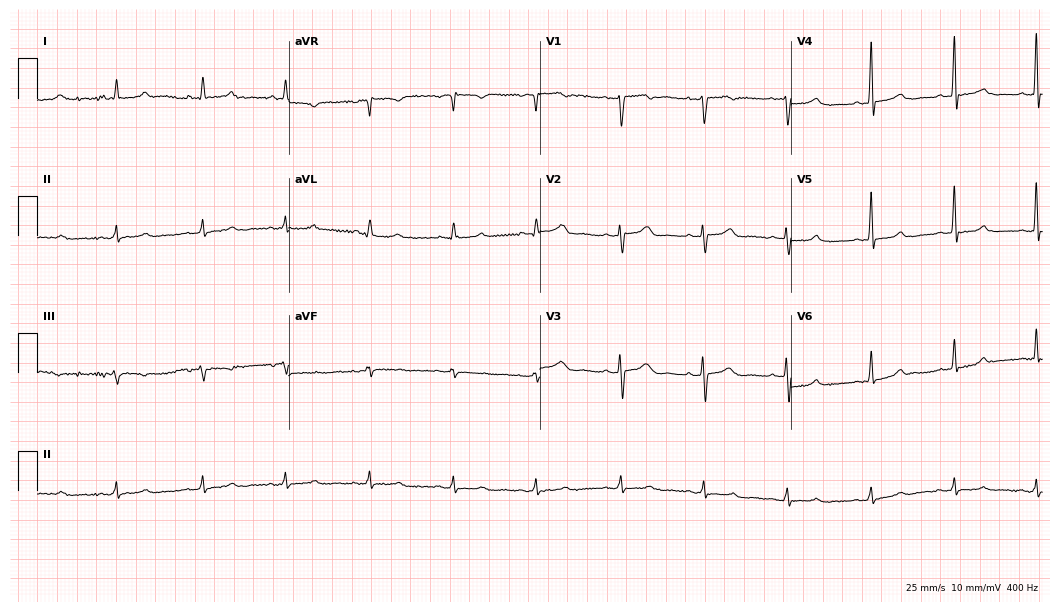
Resting 12-lead electrocardiogram (10.2-second recording at 400 Hz). Patient: a woman, 47 years old. Read as a normal ECG.